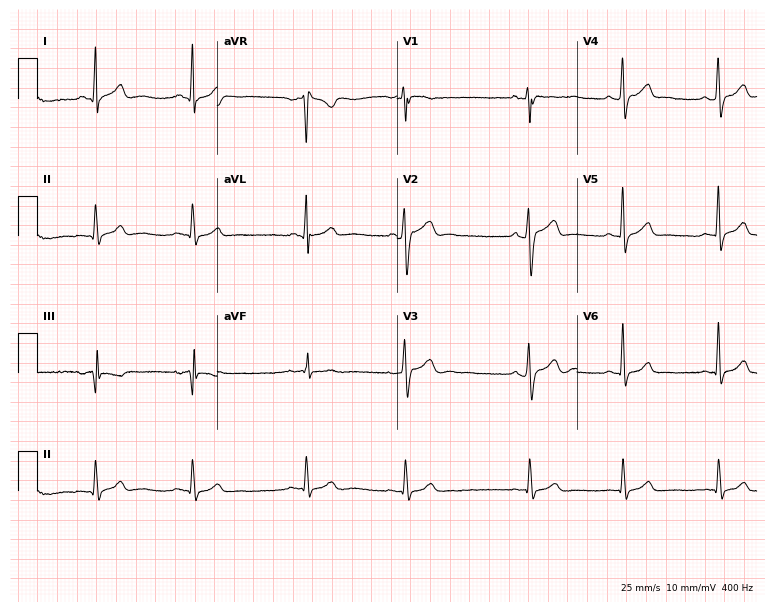
12-lead ECG from a 27-year-old man. Recorded interpretation: within normal limits.